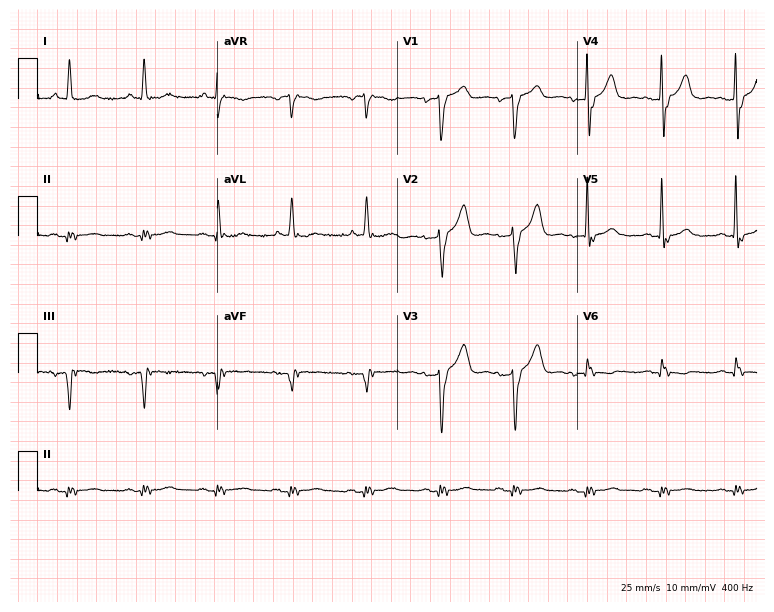
Resting 12-lead electrocardiogram (7.3-second recording at 400 Hz). Patient: a male, 82 years old. None of these six findings is recorded: first-degree AV block, right bundle branch block, left bundle branch block, sinus bradycardia, atrial fibrillation, sinus tachycardia. Only these six findings were labelled.